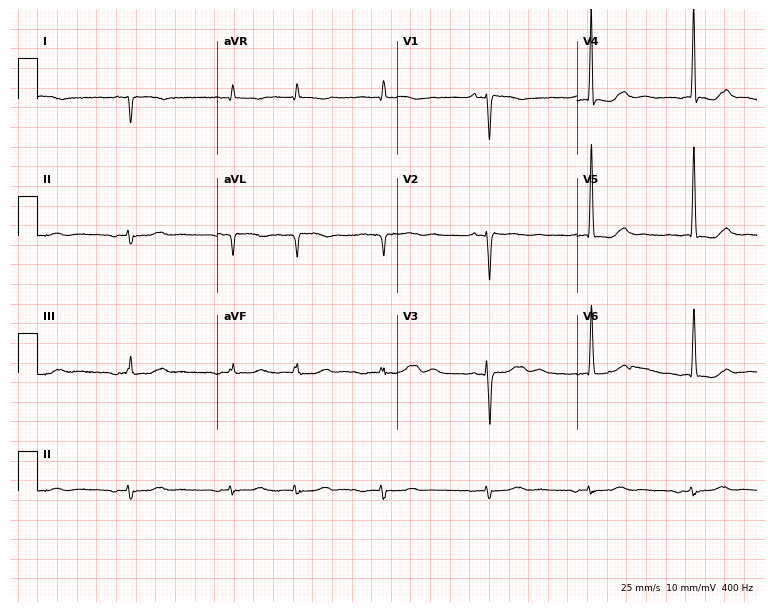
12-lead ECG from a woman, 75 years old. Screened for six findings — first-degree AV block, right bundle branch block, left bundle branch block, sinus bradycardia, atrial fibrillation, sinus tachycardia — none is recorded.